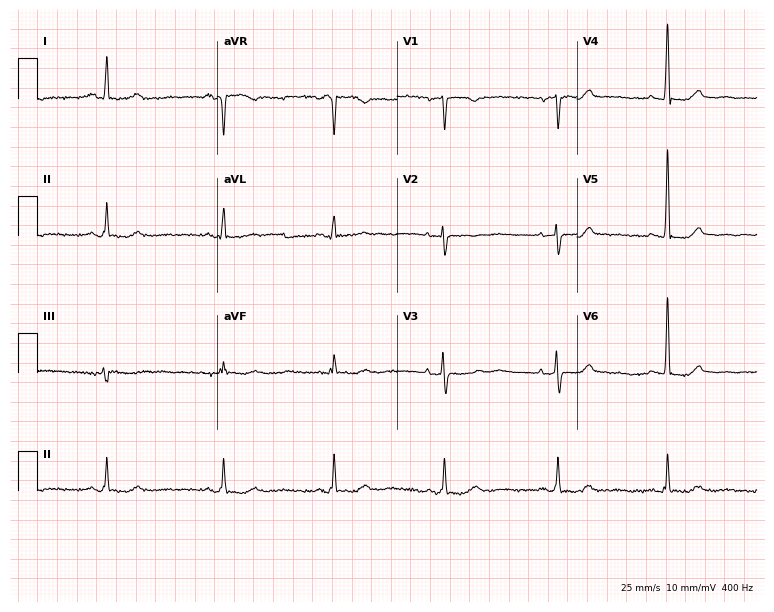
12-lead ECG from a female patient, 69 years old (7.3-second recording at 400 Hz). No first-degree AV block, right bundle branch block, left bundle branch block, sinus bradycardia, atrial fibrillation or sinus tachycardia recorded for this tracing.